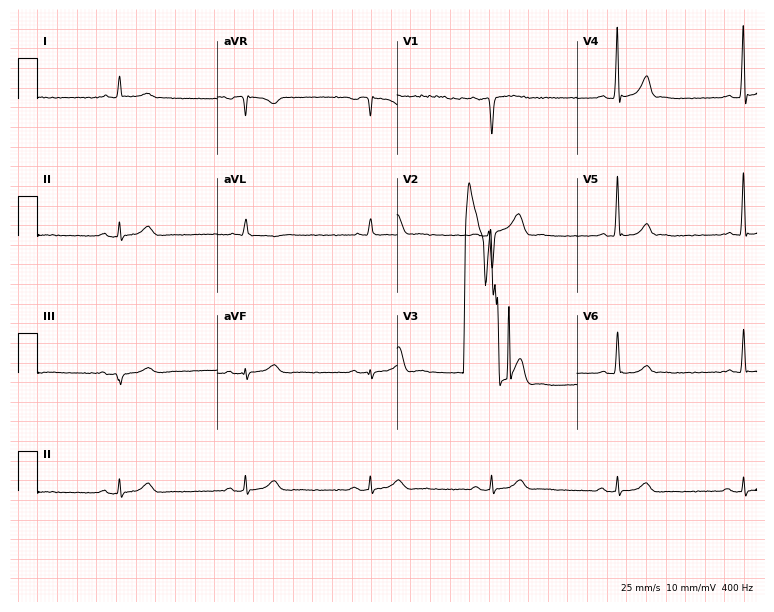
12-lead ECG from a man, 65 years old (7.3-second recording at 400 Hz). Shows sinus bradycardia (a sinus rate of 50 beats per minute or less).